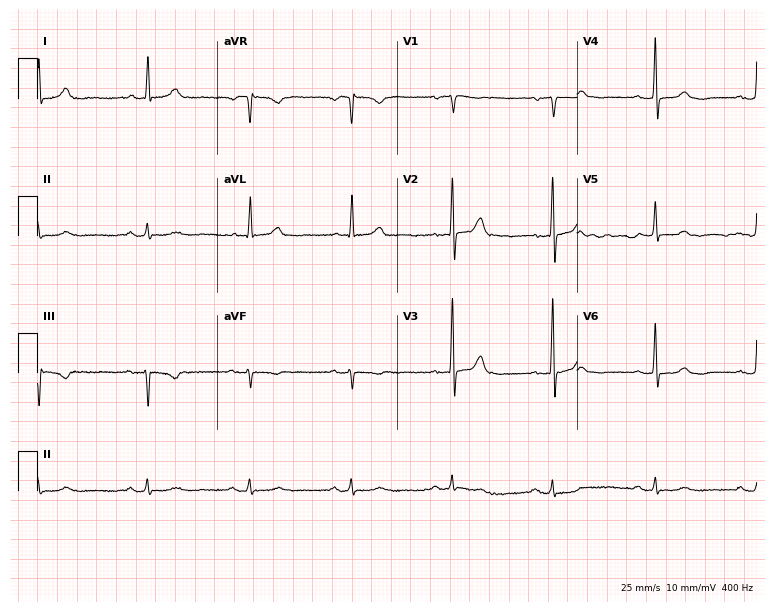
ECG (7.3-second recording at 400 Hz) — a woman, 70 years old. Labelled as a normal ECG.